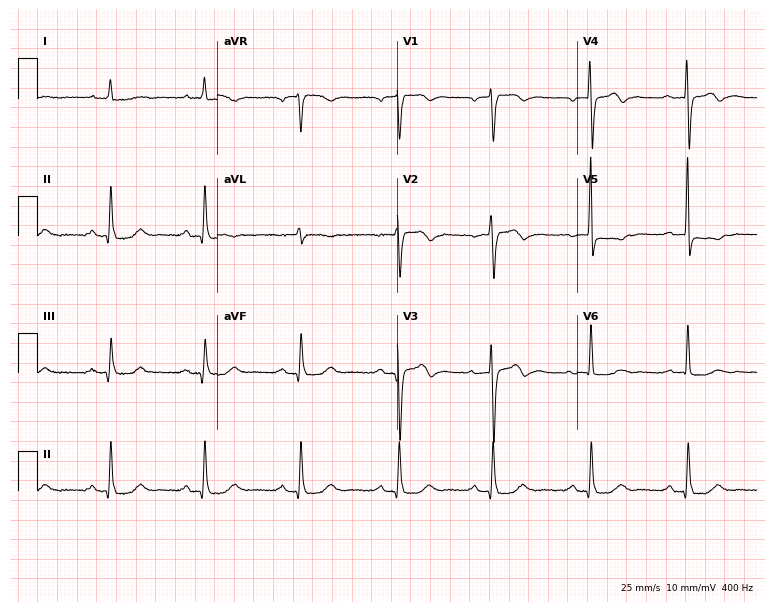
ECG — a 77-year-old man. Screened for six findings — first-degree AV block, right bundle branch block (RBBB), left bundle branch block (LBBB), sinus bradycardia, atrial fibrillation (AF), sinus tachycardia — none is recorded.